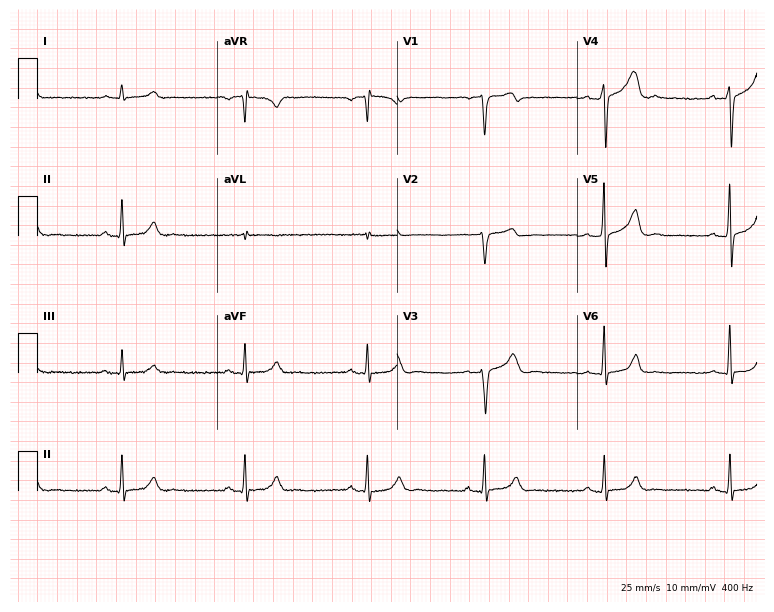
Electrocardiogram (7.3-second recording at 400 Hz), a male patient, 50 years old. Interpretation includes sinus bradycardia (a sinus rate of 50 beats per minute or less).